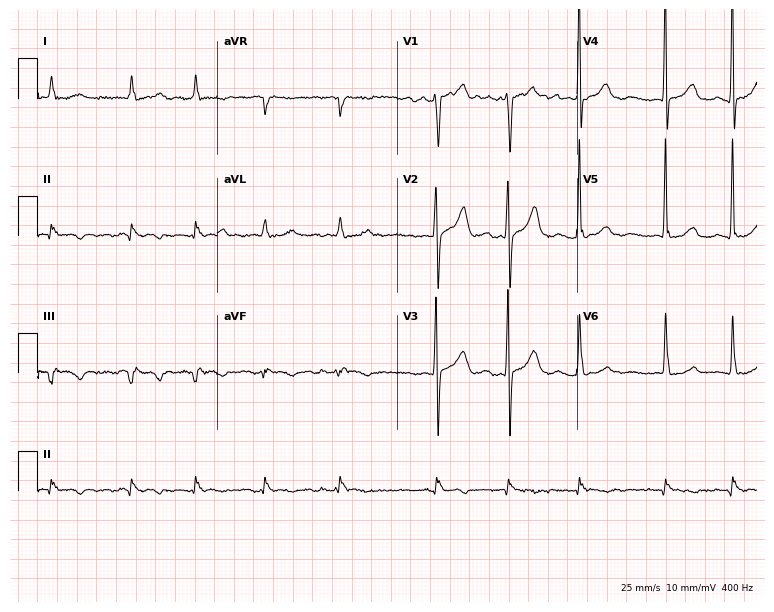
Electrocardiogram, a man, 58 years old. Interpretation includes atrial fibrillation (AF).